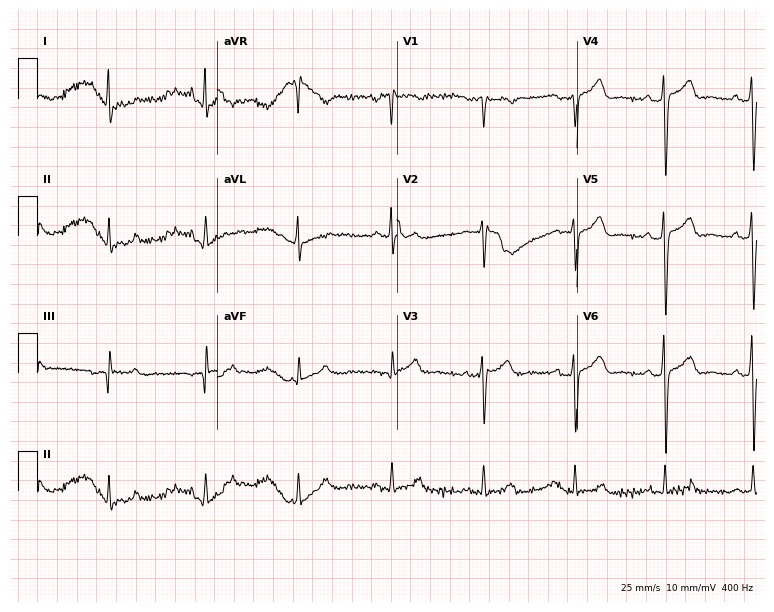
Electrocardiogram (7.3-second recording at 400 Hz), a male, 63 years old. Of the six screened findings (first-degree AV block, right bundle branch block, left bundle branch block, sinus bradycardia, atrial fibrillation, sinus tachycardia), none is recorded. Findings outside these six are not listed.